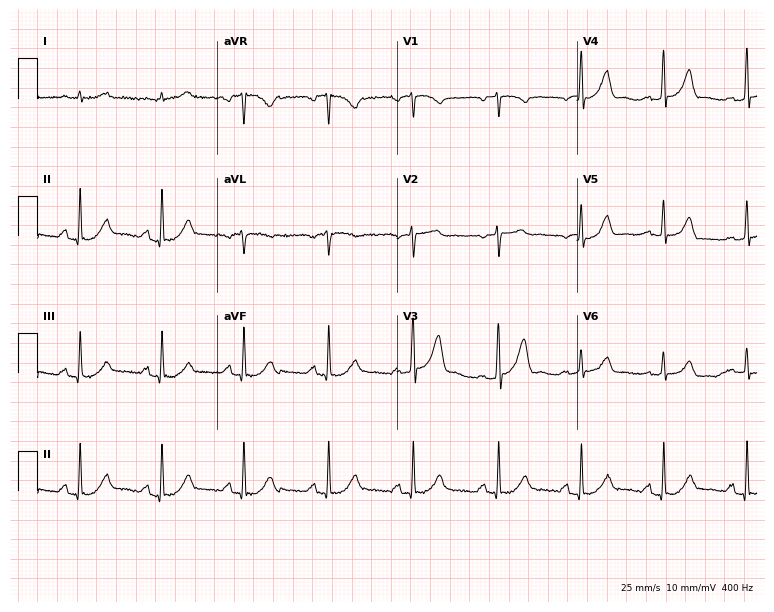
12-lead ECG from a man, 74 years old. Recorded interpretation: within normal limits.